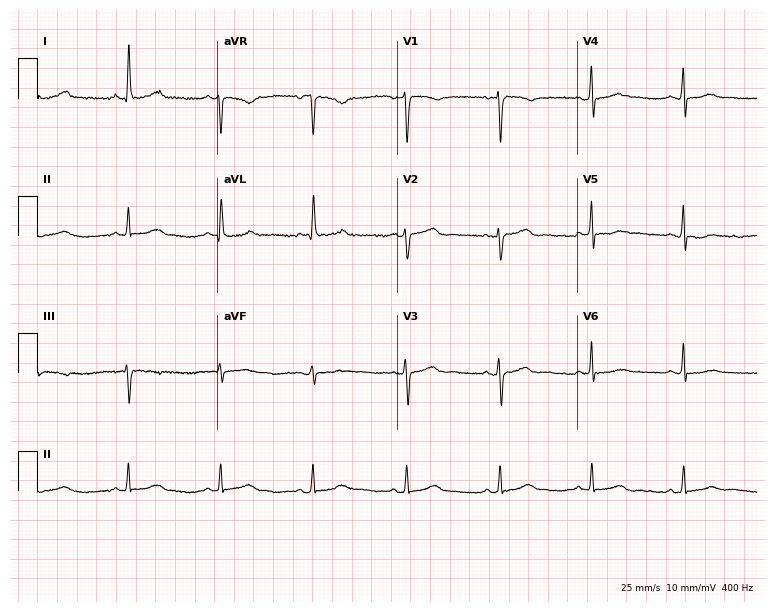
Resting 12-lead electrocardiogram. Patient: a 52-year-old female. None of these six findings is recorded: first-degree AV block, right bundle branch block, left bundle branch block, sinus bradycardia, atrial fibrillation, sinus tachycardia. Only these six findings were labelled.